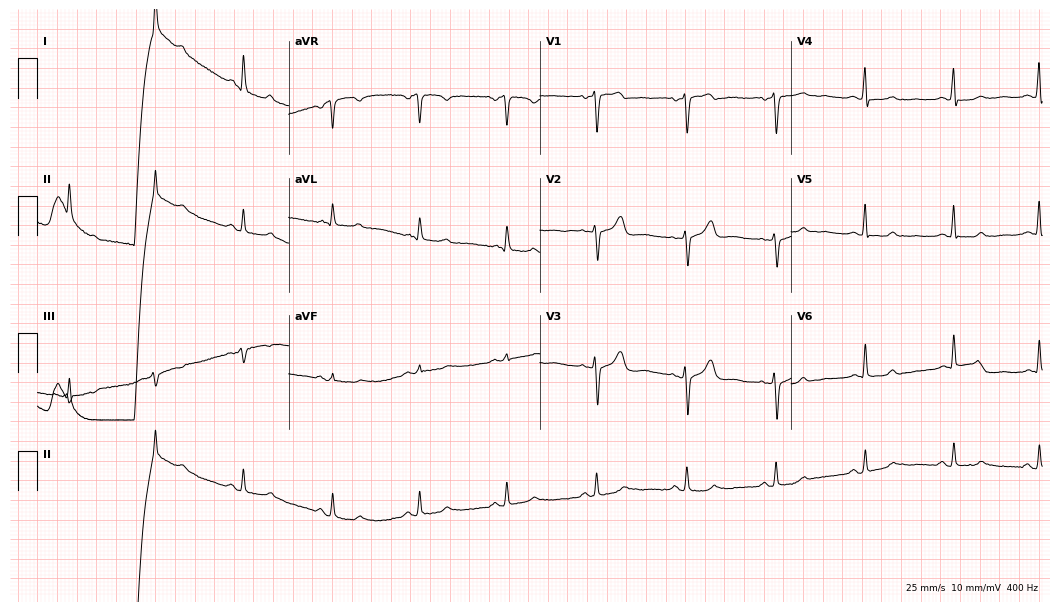
ECG (10.2-second recording at 400 Hz) — a female patient, 64 years old. Labelled as a normal ECG.